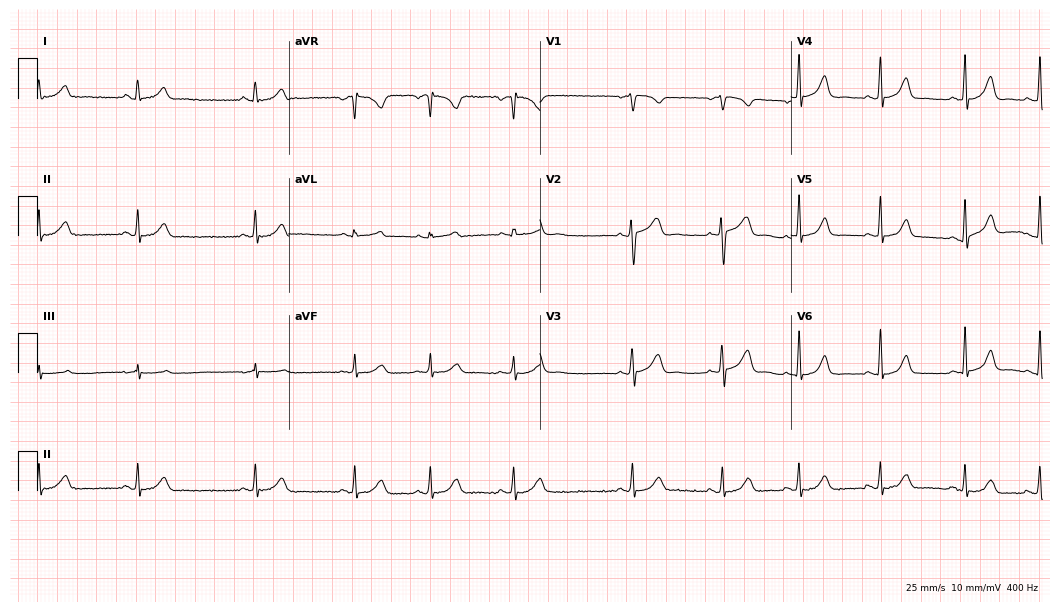
12-lead ECG from a 27-year-old woman. Labelled as a normal ECG.